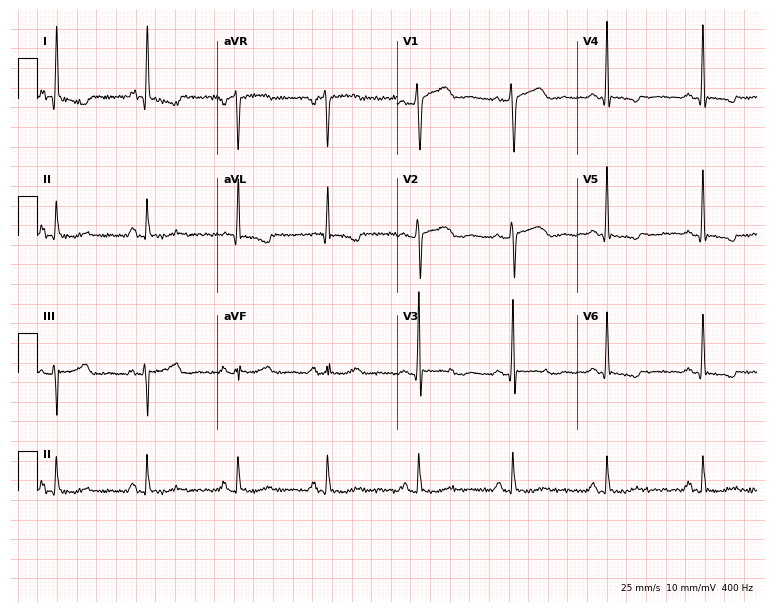
12-lead ECG (7.3-second recording at 400 Hz) from a female, 55 years old. Screened for six findings — first-degree AV block, right bundle branch block (RBBB), left bundle branch block (LBBB), sinus bradycardia, atrial fibrillation (AF), sinus tachycardia — none is recorded. Findings outside these six are not listed.